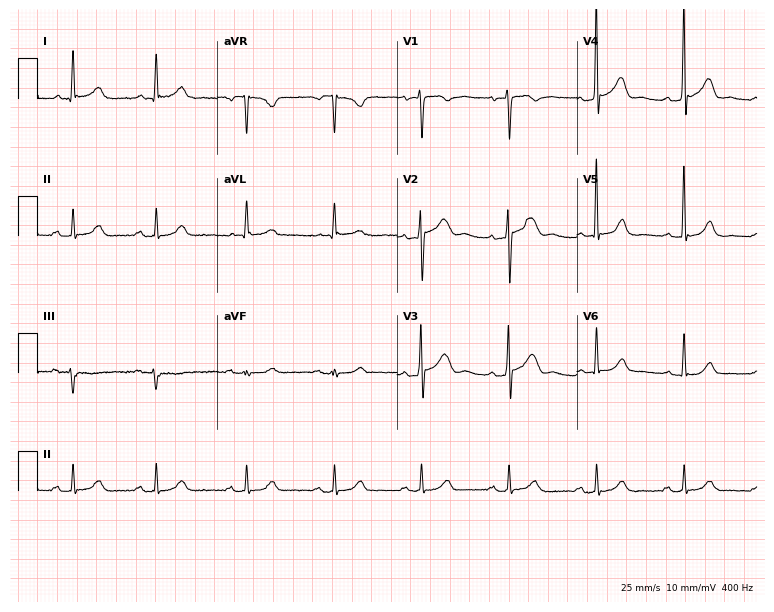
12-lead ECG from a 61-year-old male. Labelled as a normal ECG.